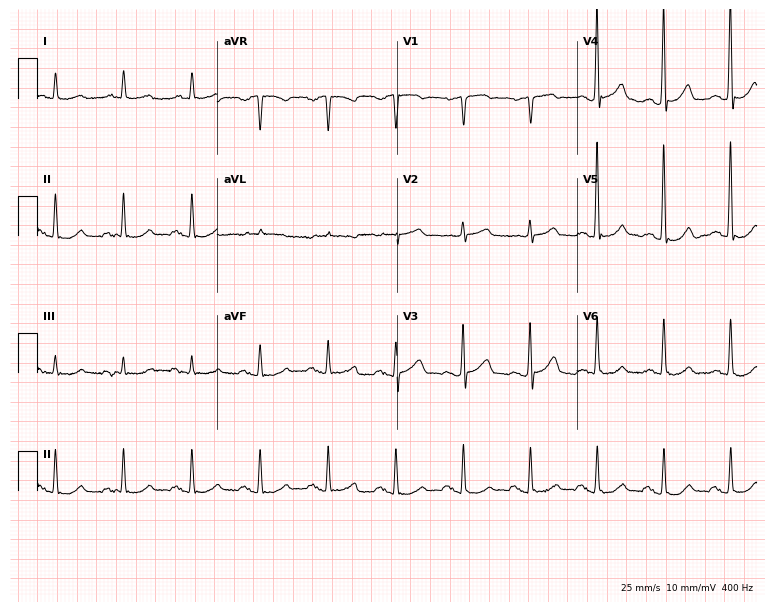
12-lead ECG (7.3-second recording at 400 Hz) from a male patient, 77 years old. Screened for six findings — first-degree AV block, right bundle branch block (RBBB), left bundle branch block (LBBB), sinus bradycardia, atrial fibrillation (AF), sinus tachycardia — none is recorded.